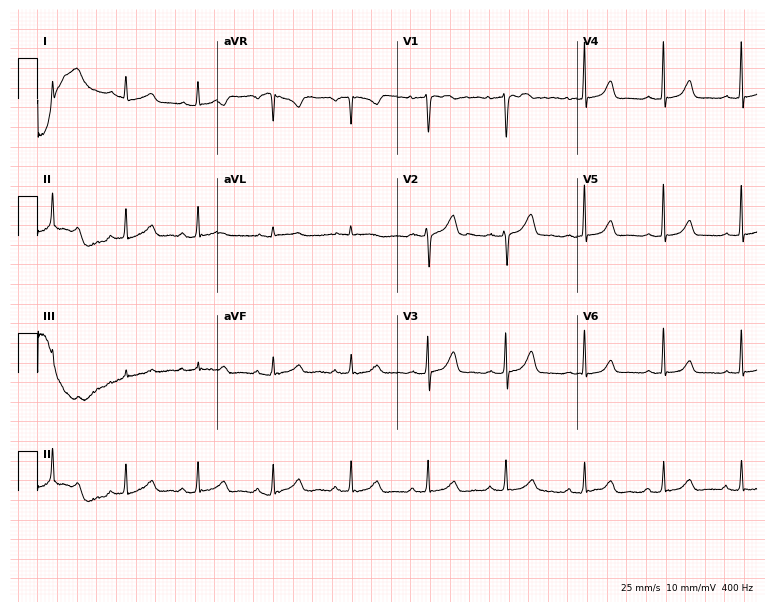
12-lead ECG (7.3-second recording at 400 Hz) from a female, 50 years old. Screened for six findings — first-degree AV block, right bundle branch block (RBBB), left bundle branch block (LBBB), sinus bradycardia, atrial fibrillation (AF), sinus tachycardia — none is recorded.